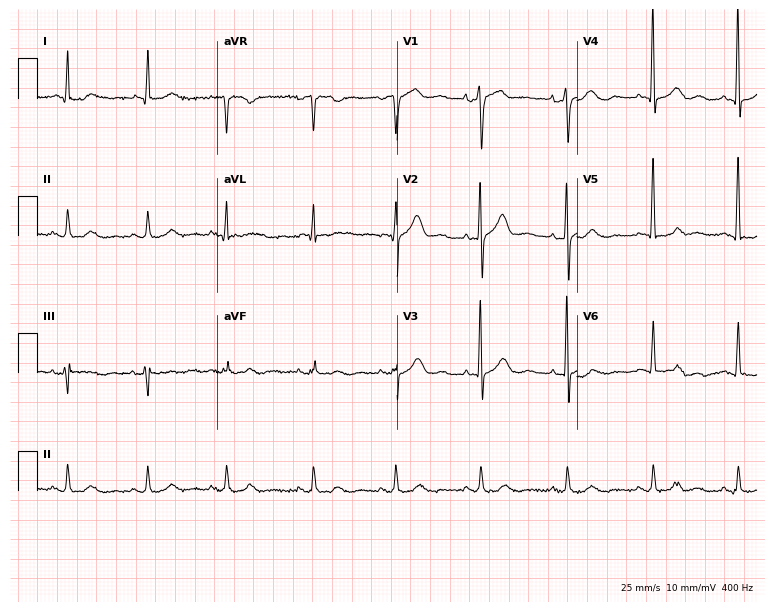
ECG (7.3-second recording at 400 Hz) — a man, 73 years old. Screened for six findings — first-degree AV block, right bundle branch block, left bundle branch block, sinus bradycardia, atrial fibrillation, sinus tachycardia — none is recorded.